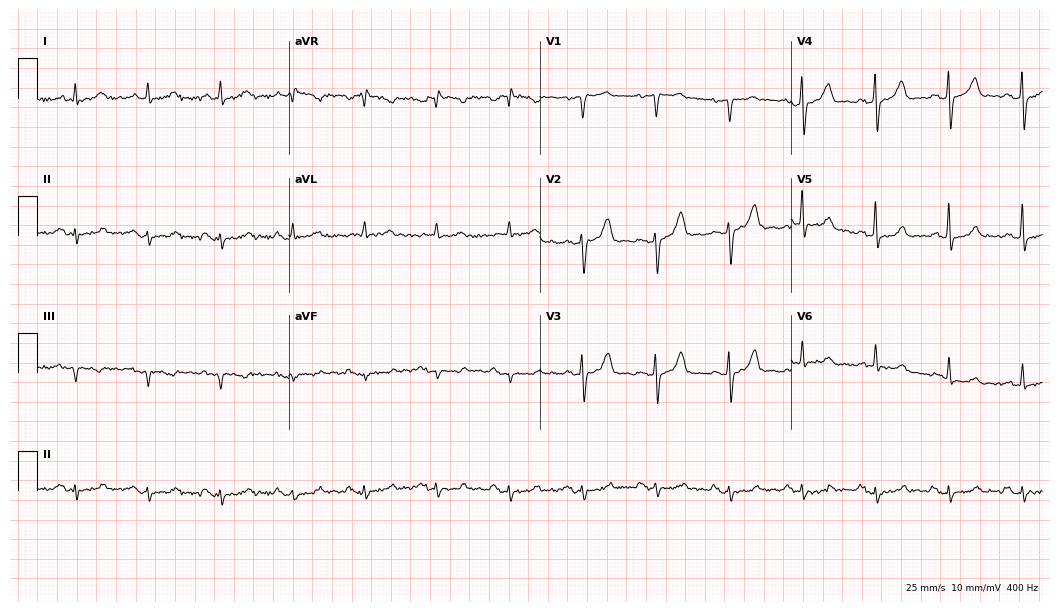
Electrocardiogram, a 52-year-old male. Of the six screened findings (first-degree AV block, right bundle branch block, left bundle branch block, sinus bradycardia, atrial fibrillation, sinus tachycardia), none is recorded. Only these six findings were labelled.